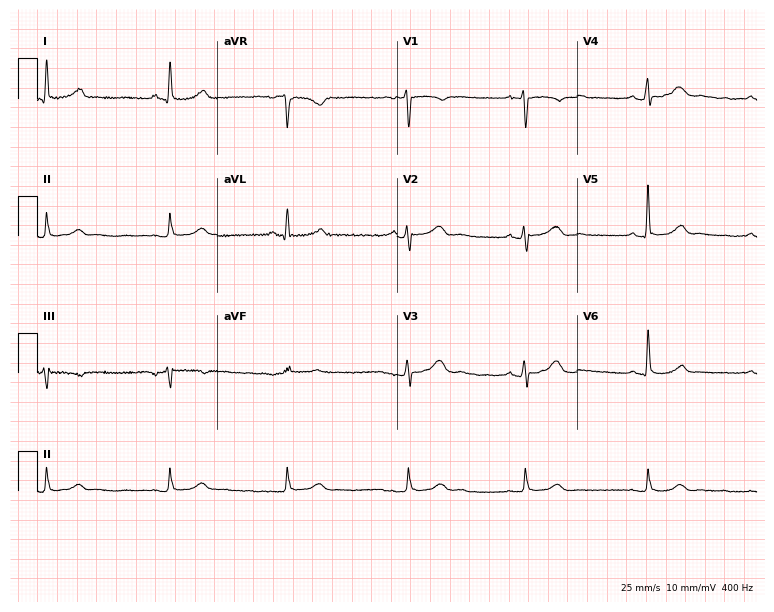
12-lead ECG from a female, 57 years old. Findings include sinus bradycardia (a sinus rate of 50 beats per minute or less).